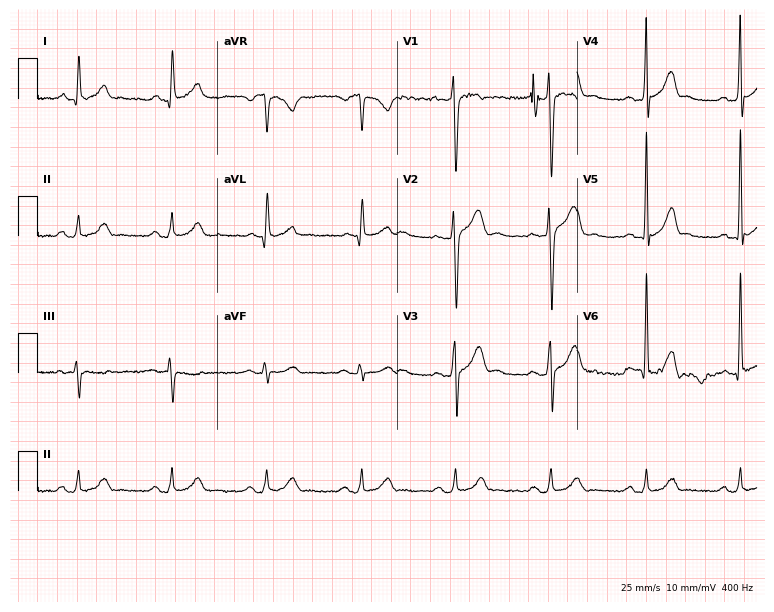
12-lead ECG from a man, 25 years old. No first-degree AV block, right bundle branch block (RBBB), left bundle branch block (LBBB), sinus bradycardia, atrial fibrillation (AF) or sinus tachycardia recorded for this tracing. Only these six findings were labelled.